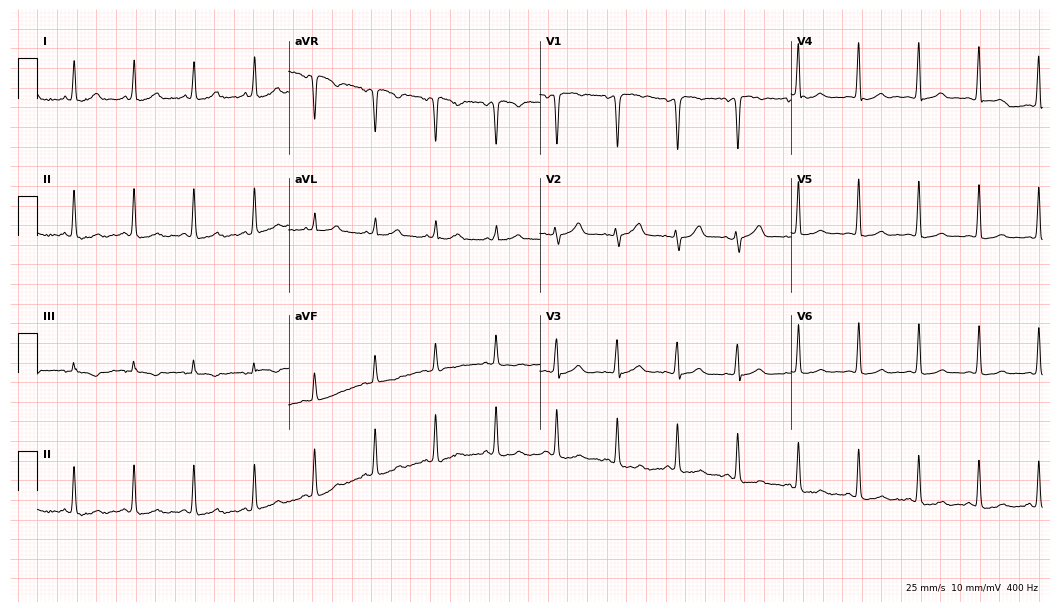
ECG — a 44-year-old female. Screened for six findings — first-degree AV block, right bundle branch block, left bundle branch block, sinus bradycardia, atrial fibrillation, sinus tachycardia — none is recorded. Only these six findings were labelled.